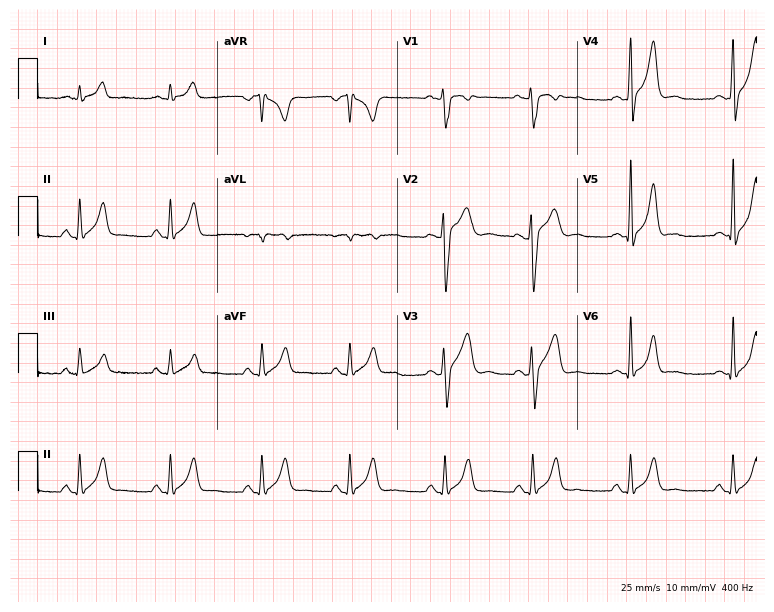
Resting 12-lead electrocardiogram. Patient: a 25-year-old man. None of these six findings is recorded: first-degree AV block, right bundle branch block, left bundle branch block, sinus bradycardia, atrial fibrillation, sinus tachycardia.